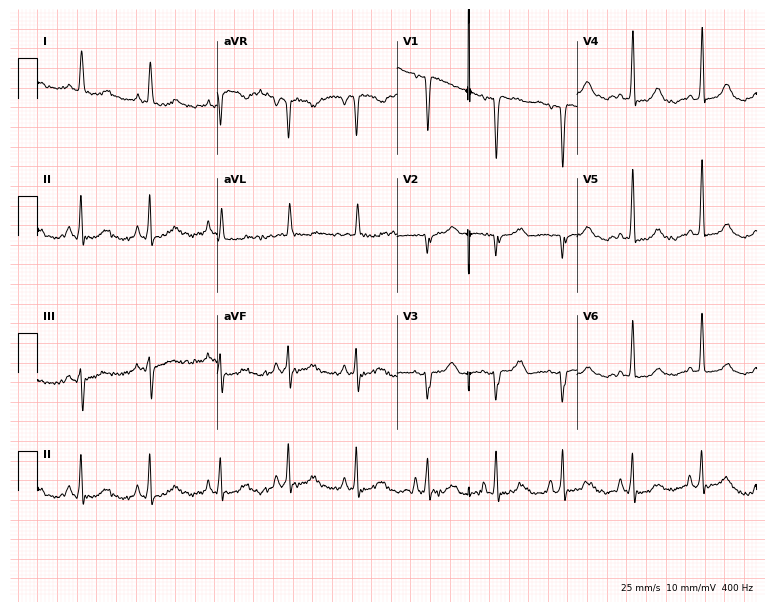
ECG (7.3-second recording at 400 Hz) — an 80-year-old female patient. Screened for six findings — first-degree AV block, right bundle branch block, left bundle branch block, sinus bradycardia, atrial fibrillation, sinus tachycardia — none is recorded. Findings outside these six are not listed.